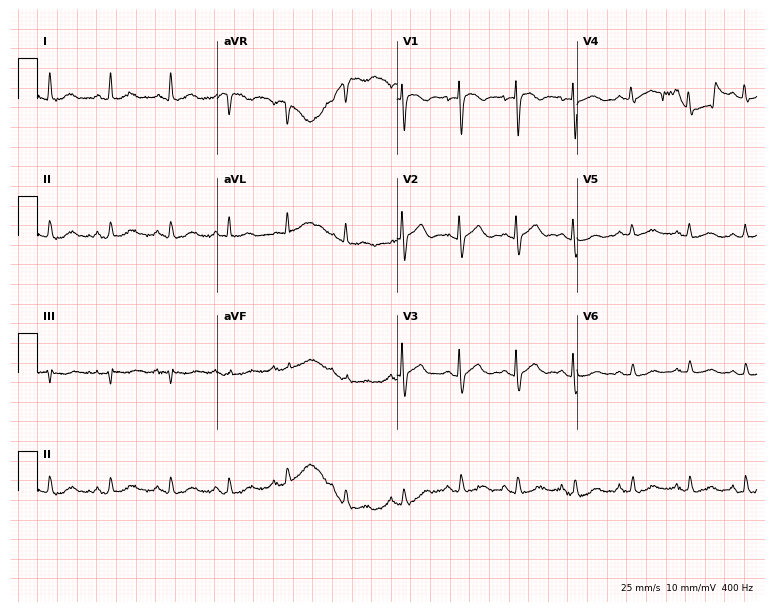
12-lead ECG from a woman, 77 years old (7.3-second recording at 400 Hz). Recorded interpretation: within normal limits.